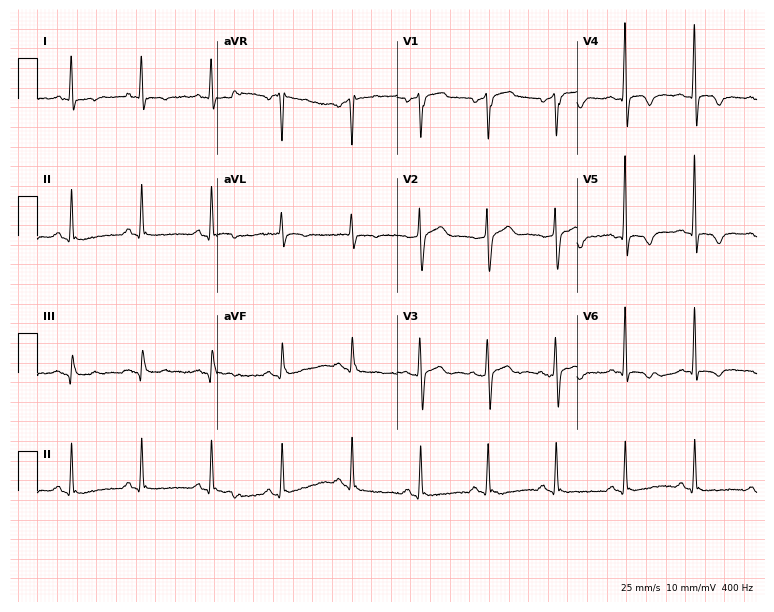
Electrocardiogram (7.3-second recording at 400 Hz), a 47-year-old man. Of the six screened findings (first-degree AV block, right bundle branch block, left bundle branch block, sinus bradycardia, atrial fibrillation, sinus tachycardia), none is recorded.